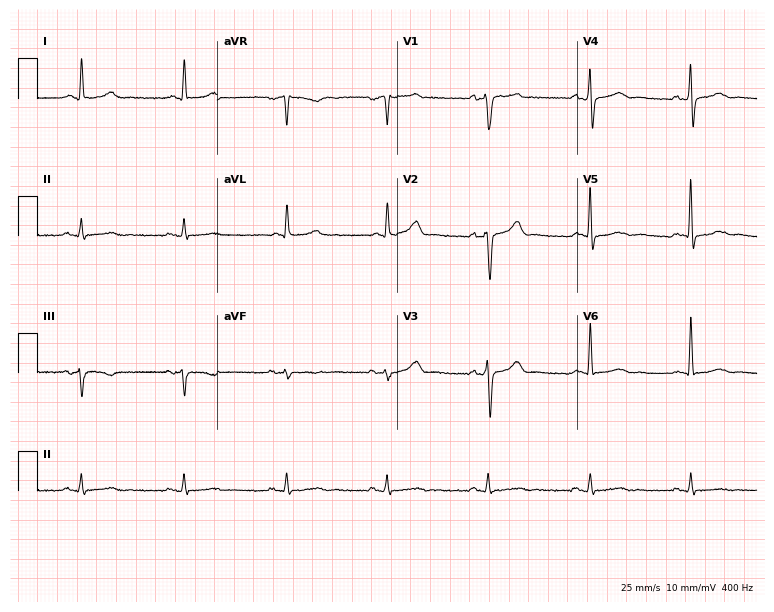
ECG (7.3-second recording at 400 Hz) — a 77-year-old male. Labelled as a normal ECG.